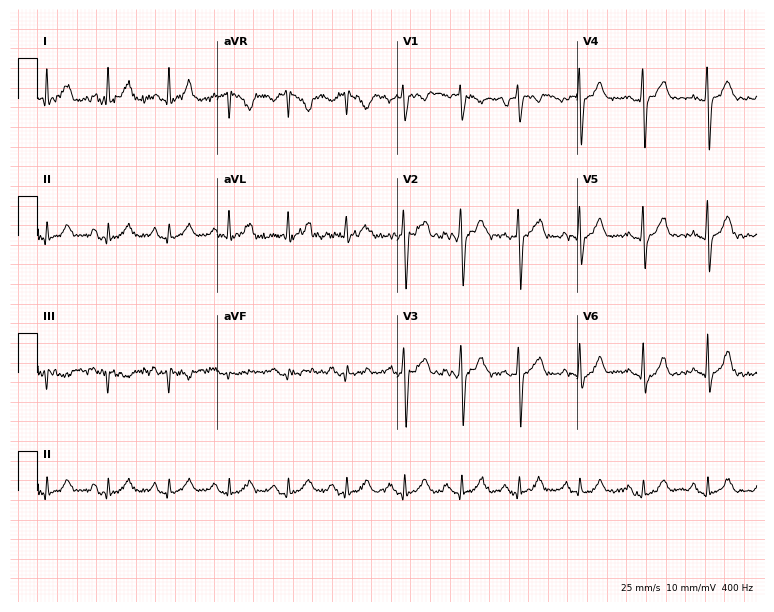
Electrocardiogram (7.3-second recording at 400 Hz), a 50-year-old male patient. Of the six screened findings (first-degree AV block, right bundle branch block (RBBB), left bundle branch block (LBBB), sinus bradycardia, atrial fibrillation (AF), sinus tachycardia), none is recorded.